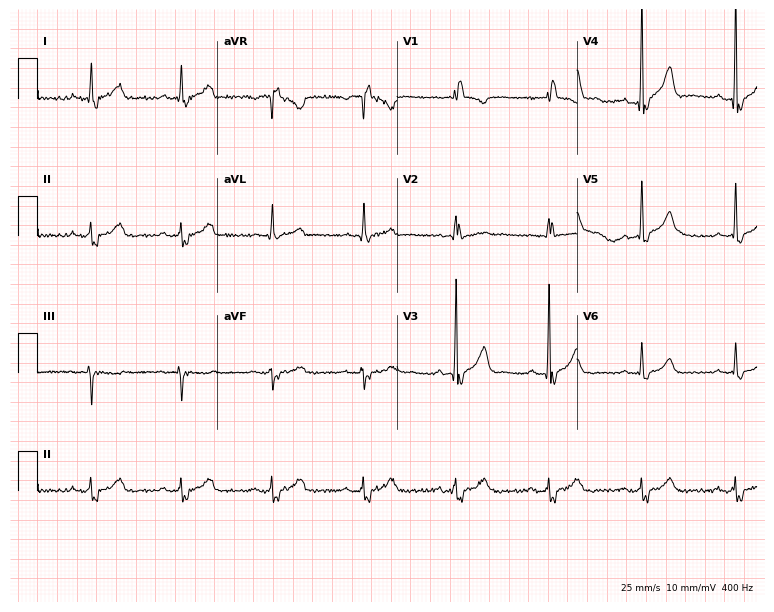
ECG — a male patient, 68 years old. Findings include right bundle branch block.